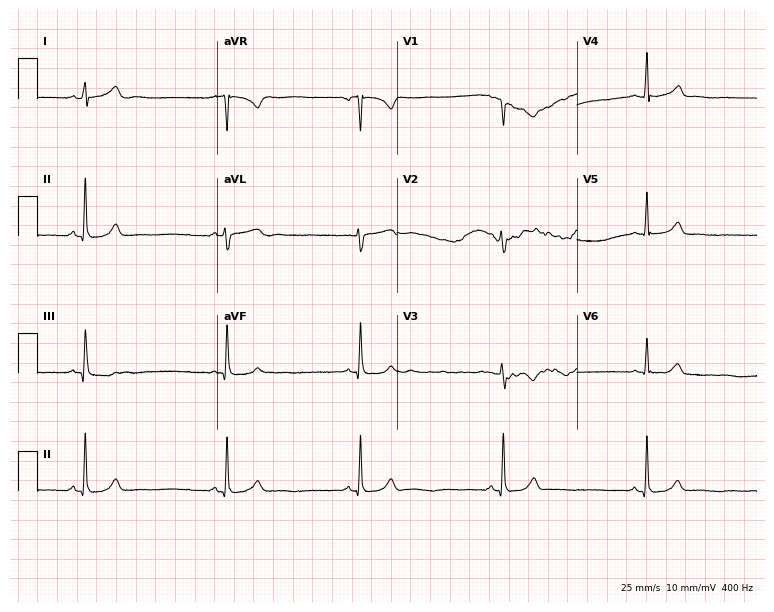
Standard 12-lead ECG recorded from a female patient, 24 years old. The tracing shows sinus bradycardia (a sinus rate of 50 beats per minute or less).